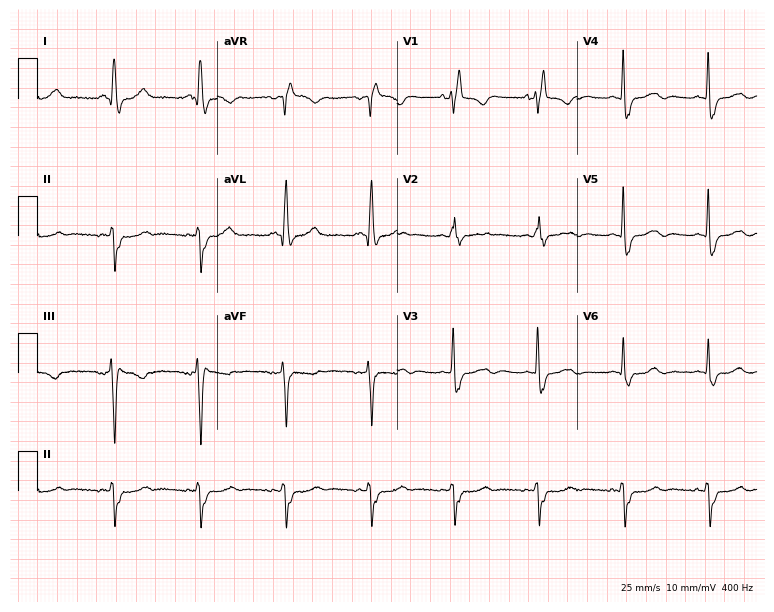
ECG — a man, 57 years old. Findings include right bundle branch block.